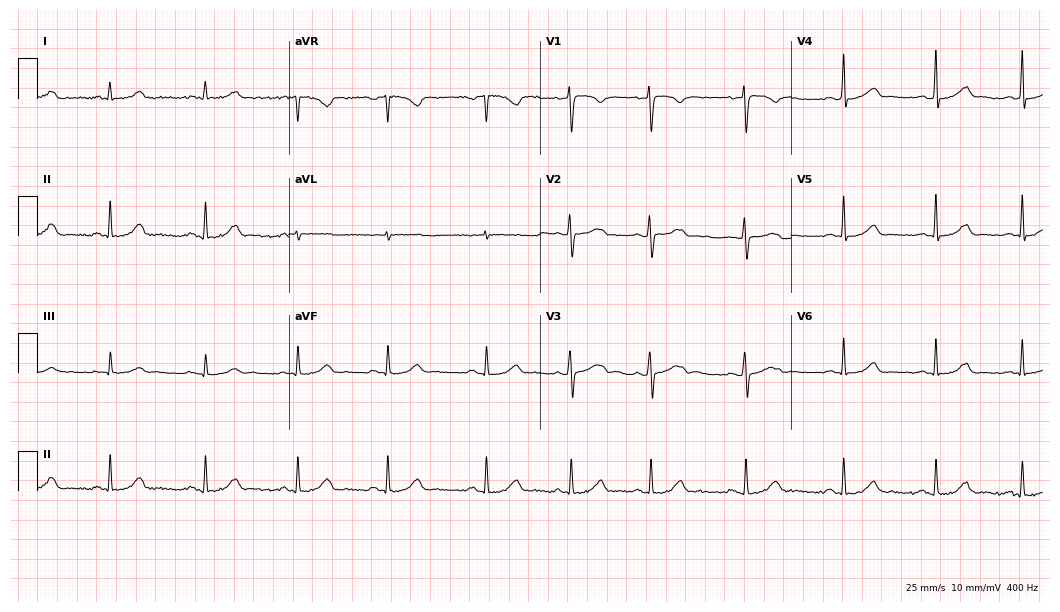
ECG — a 33-year-old female. Labelled as a normal ECG.